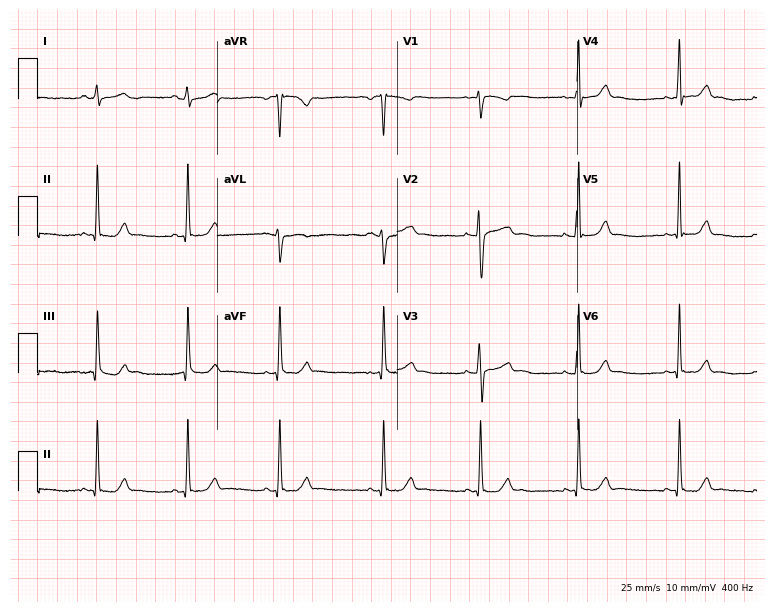
12-lead ECG from a woman, 22 years old. Recorded interpretation: within normal limits.